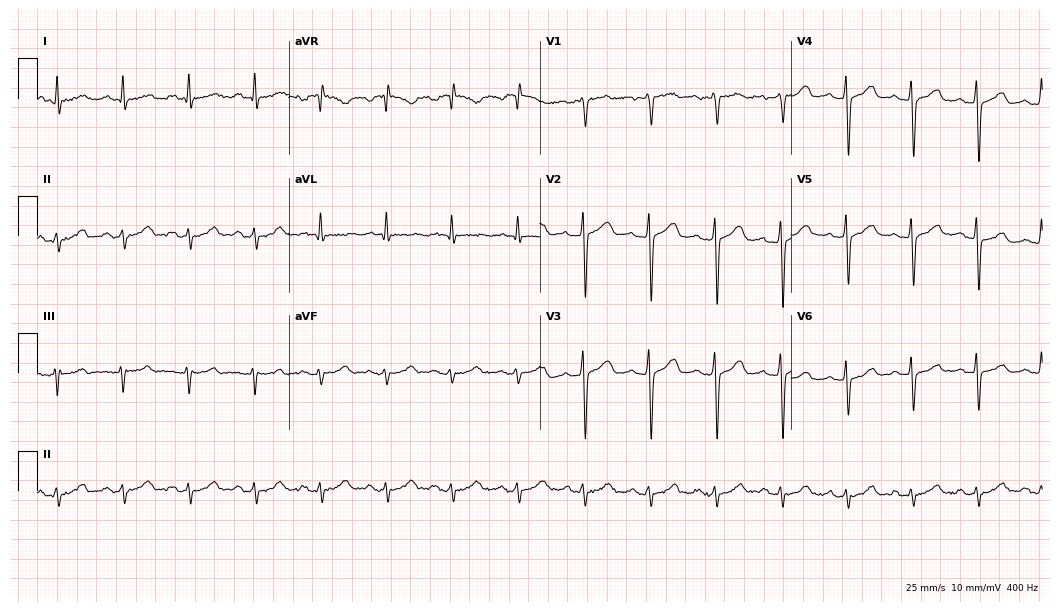
12-lead ECG from a 52-year-old man. No first-degree AV block, right bundle branch block, left bundle branch block, sinus bradycardia, atrial fibrillation or sinus tachycardia recorded for this tracing.